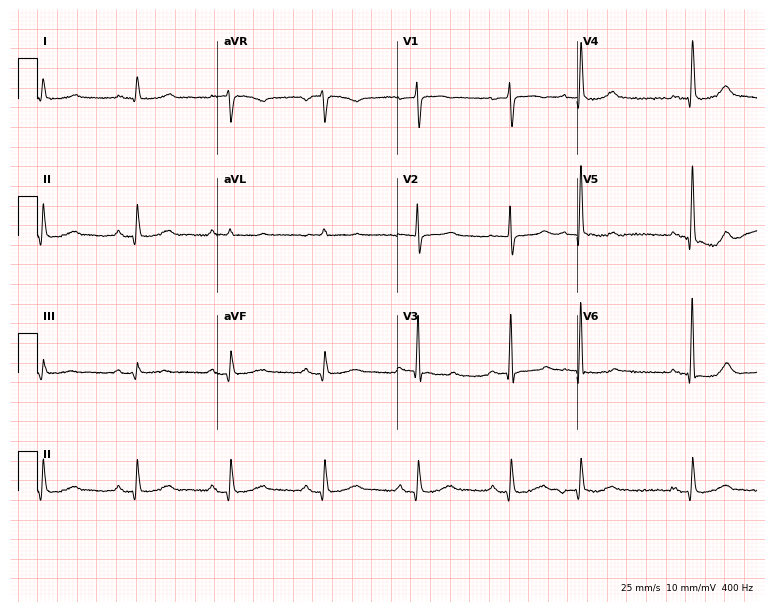
Standard 12-lead ECG recorded from an 85-year-old female patient. None of these six findings is recorded: first-degree AV block, right bundle branch block (RBBB), left bundle branch block (LBBB), sinus bradycardia, atrial fibrillation (AF), sinus tachycardia. Findings outside these six are not listed.